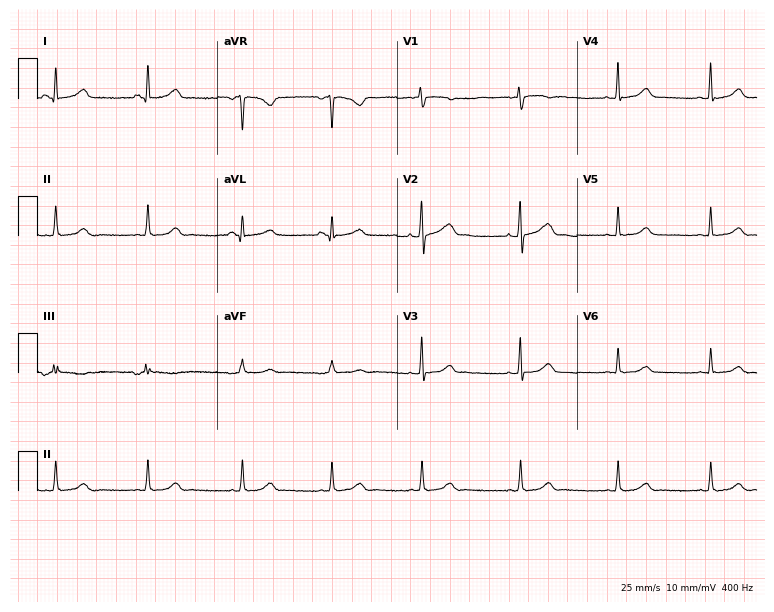
12-lead ECG (7.3-second recording at 400 Hz) from a woman, 27 years old. Labelled as a normal ECG.